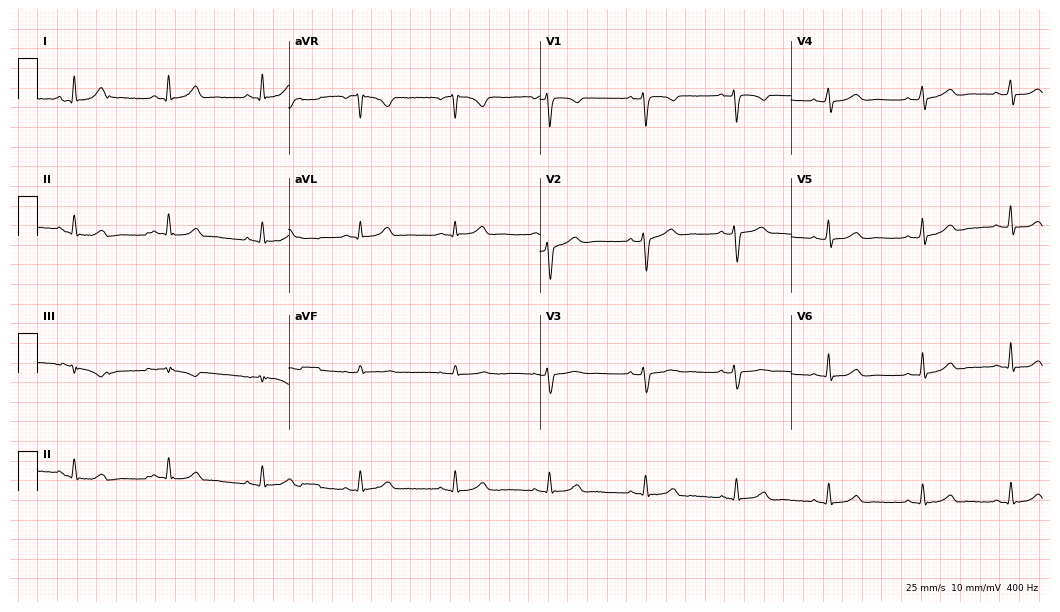
ECG (10.2-second recording at 400 Hz) — a female patient, 49 years old. Labelled as a normal ECG.